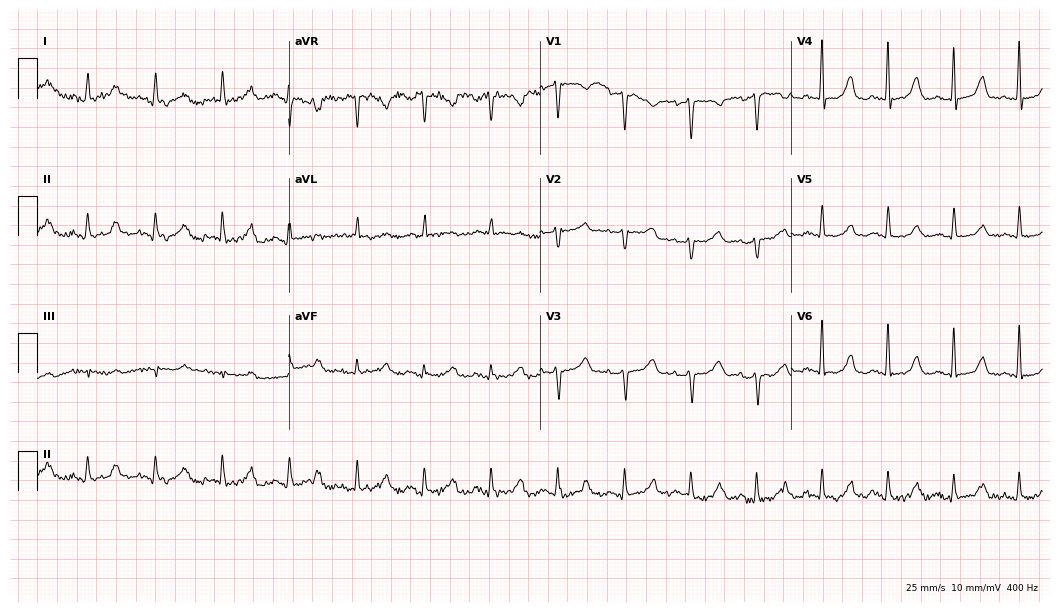
ECG — a woman, 76 years old. Labelled as a normal ECG.